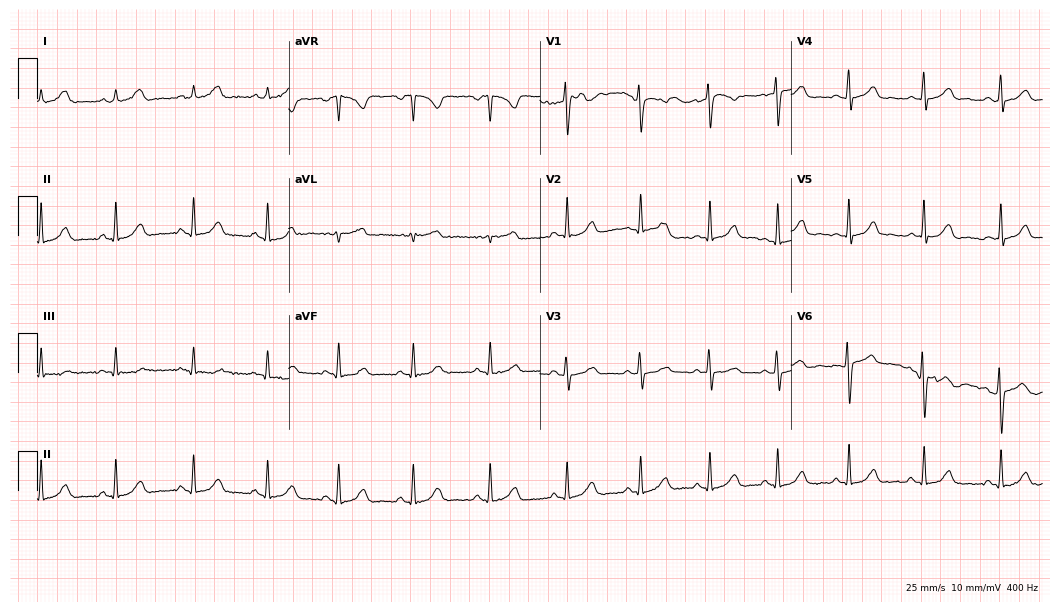
Resting 12-lead electrocardiogram. Patient: a 23-year-old female. Read as a normal ECG.